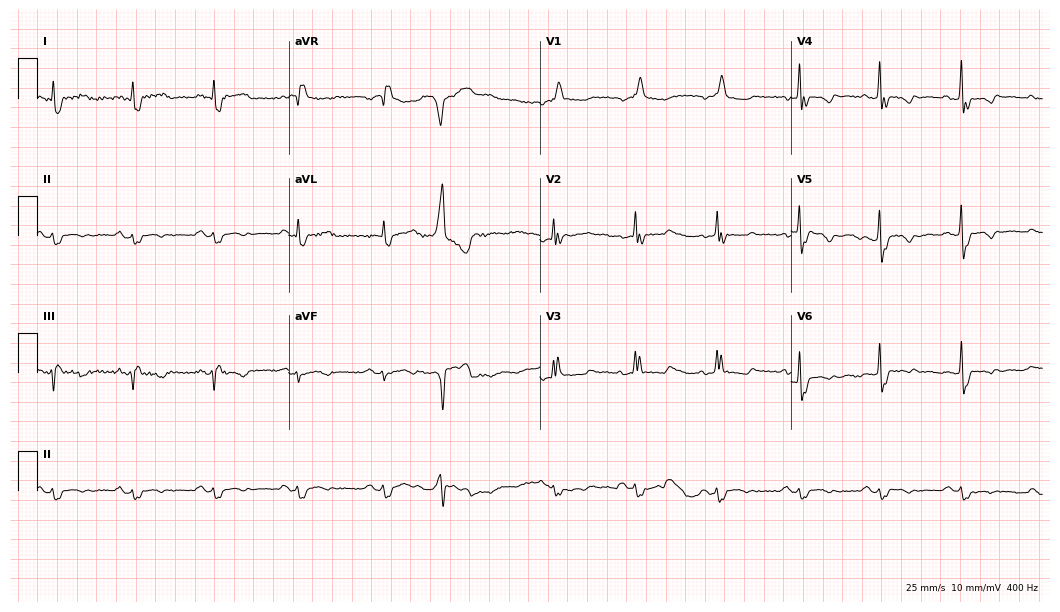
Electrocardiogram (10.2-second recording at 400 Hz), a 74-year-old female patient. Of the six screened findings (first-degree AV block, right bundle branch block (RBBB), left bundle branch block (LBBB), sinus bradycardia, atrial fibrillation (AF), sinus tachycardia), none is recorded. Findings outside these six are not listed.